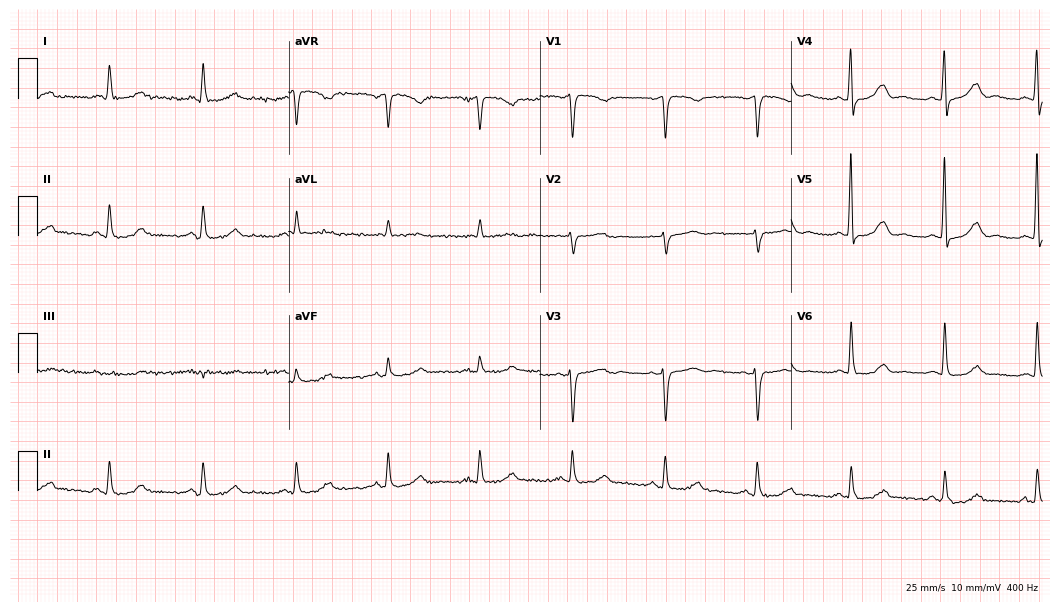
12-lead ECG from a female, 60 years old. Labelled as a normal ECG.